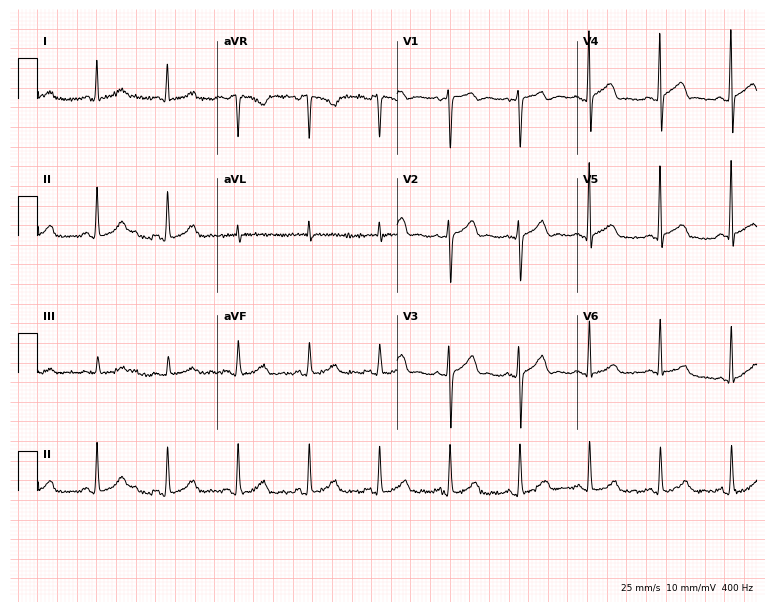
12-lead ECG (7.3-second recording at 400 Hz) from a 63-year-old woman. Labelled as a normal ECG.